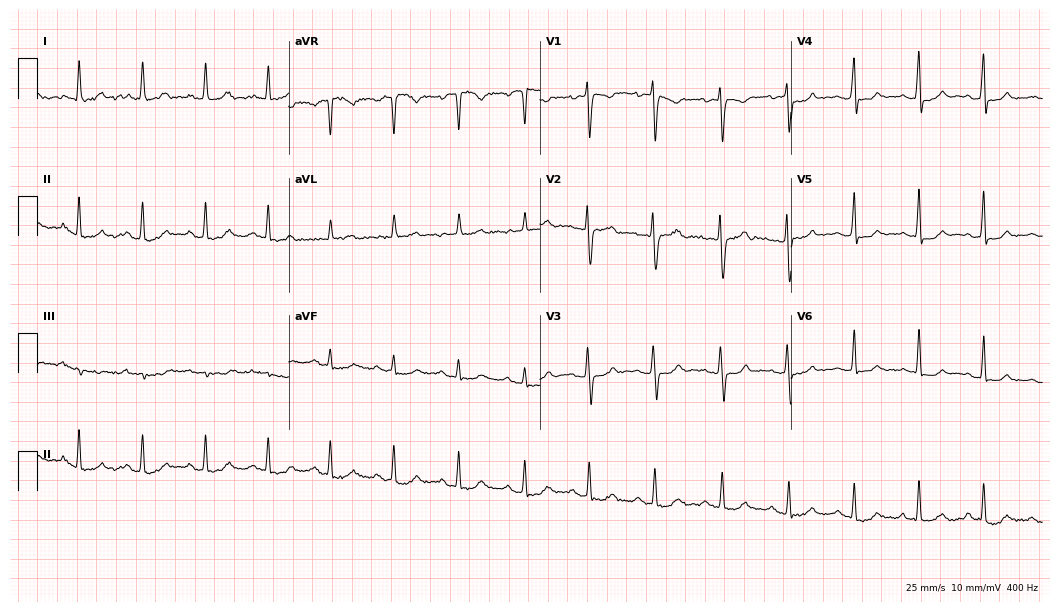
ECG — a female patient, 32 years old. Labelled as a normal ECG.